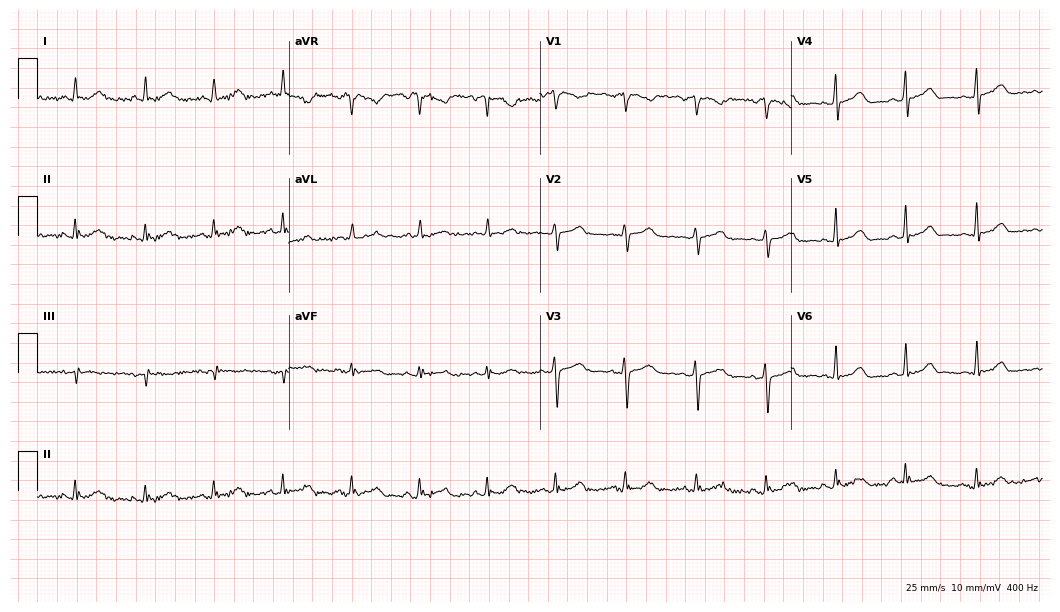
Electrocardiogram (10.2-second recording at 400 Hz), a 48-year-old female patient. Overall reading on record: normal ECG.